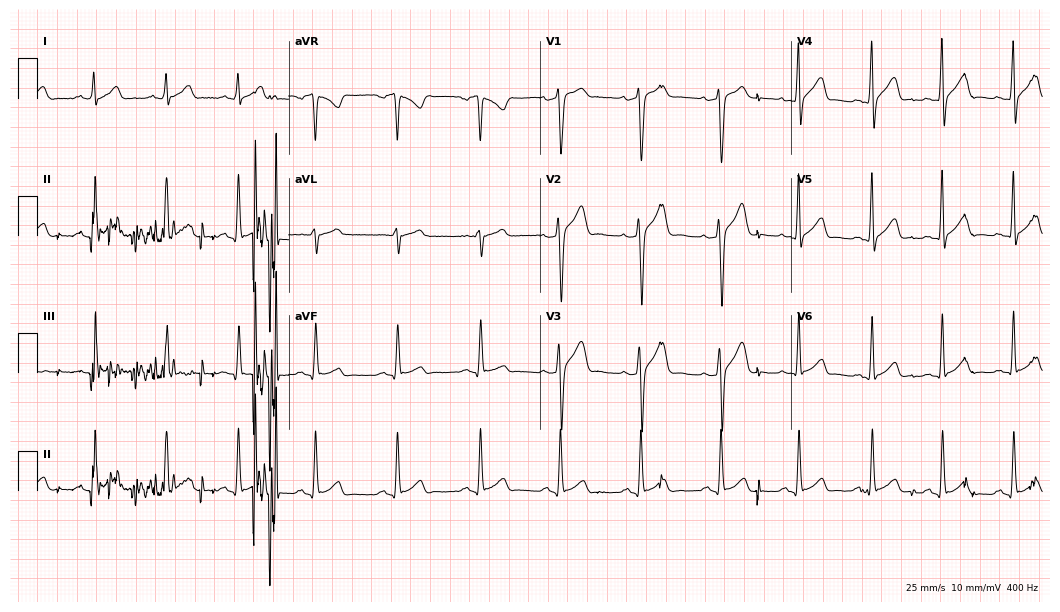
Standard 12-lead ECG recorded from a 20-year-old man (10.2-second recording at 400 Hz). Read as a normal ECG.